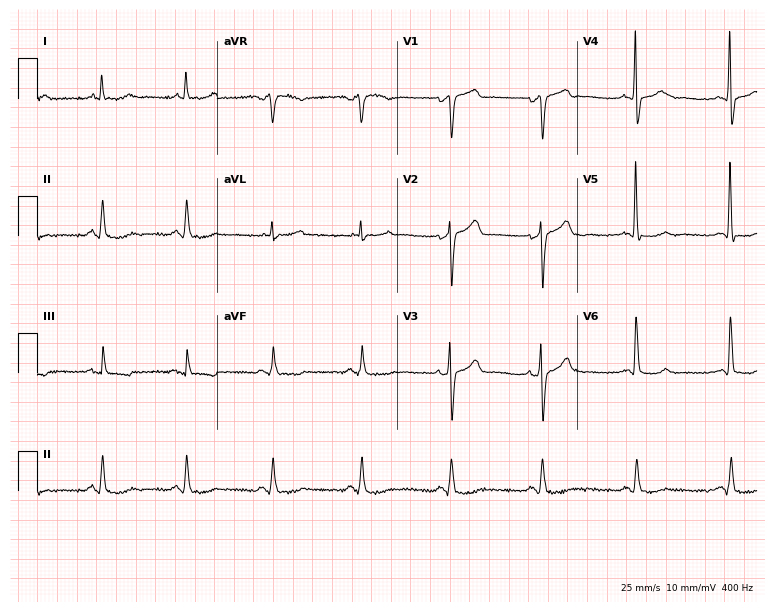
12-lead ECG from a male patient, 69 years old (7.3-second recording at 400 Hz). No first-degree AV block, right bundle branch block, left bundle branch block, sinus bradycardia, atrial fibrillation or sinus tachycardia recorded for this tracing.